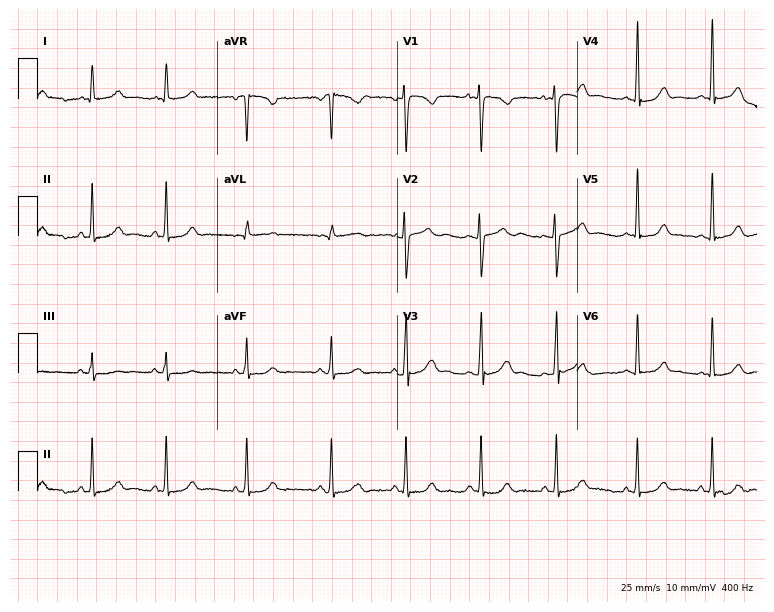
Electrocardiogram (7.3-second recording at 400 Hz), a female patient, 27 years old. Overall reading on record: normal ECG.